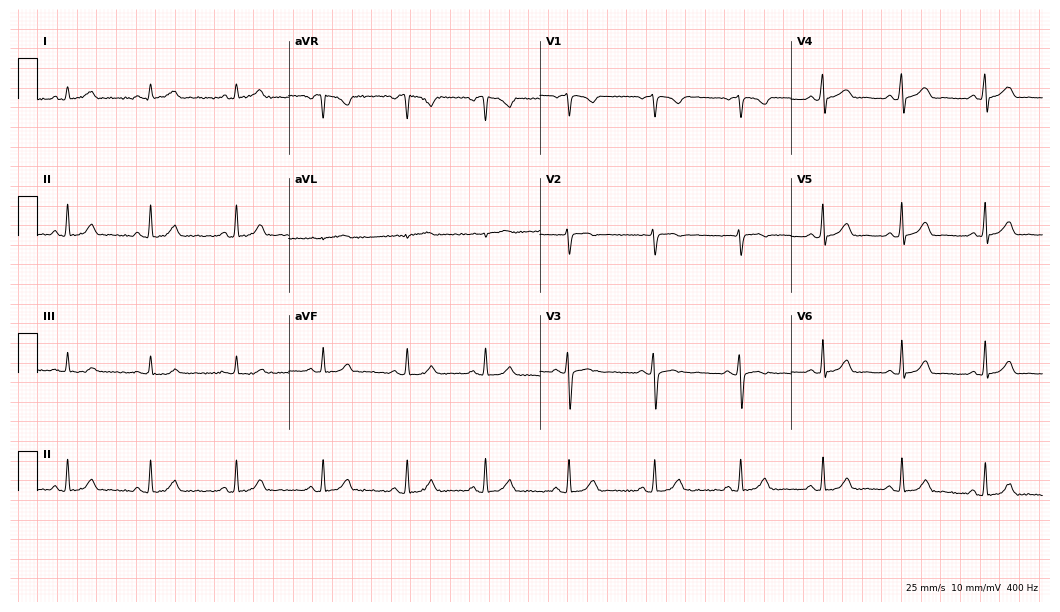
Electrocardiogram (10.2-second recording at 400 Hz), a 37-year-old female patient. Overall reading on record: normal ECG.